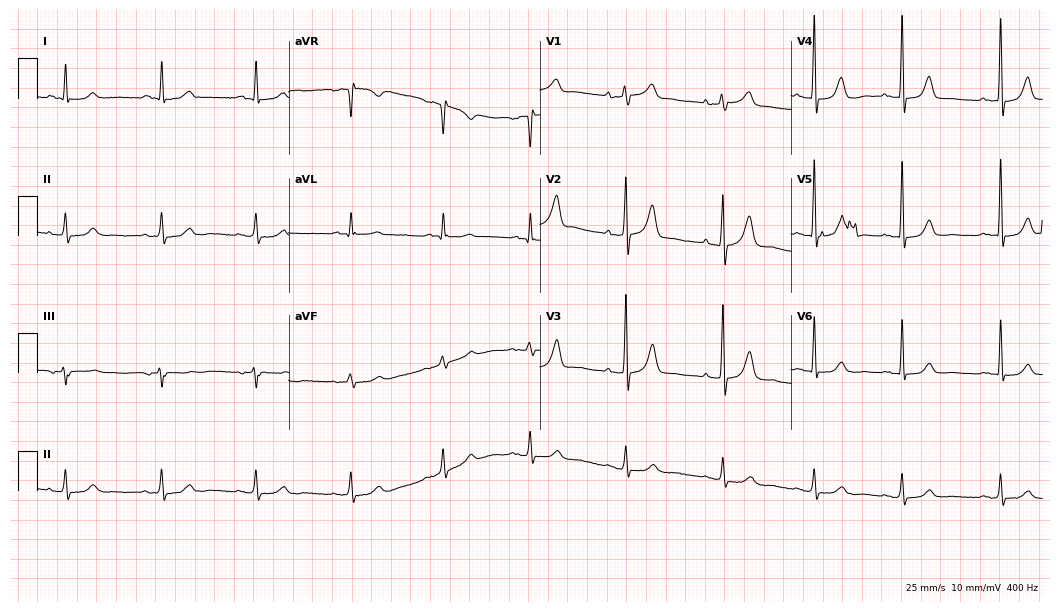
Resting 12-lead electrocardiogram. Patient: a 73-year-old male. Read as a normal ECG.